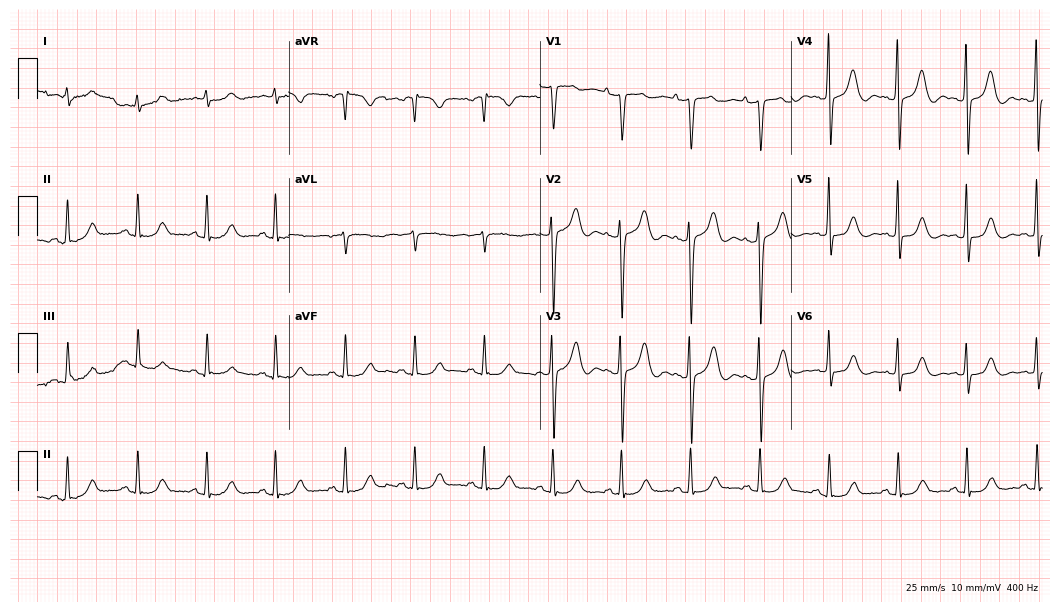
12-lead ECG (10.2-second recording at 400 Hz) from a 76-year-old female patient. Labelled as a normal ECG.